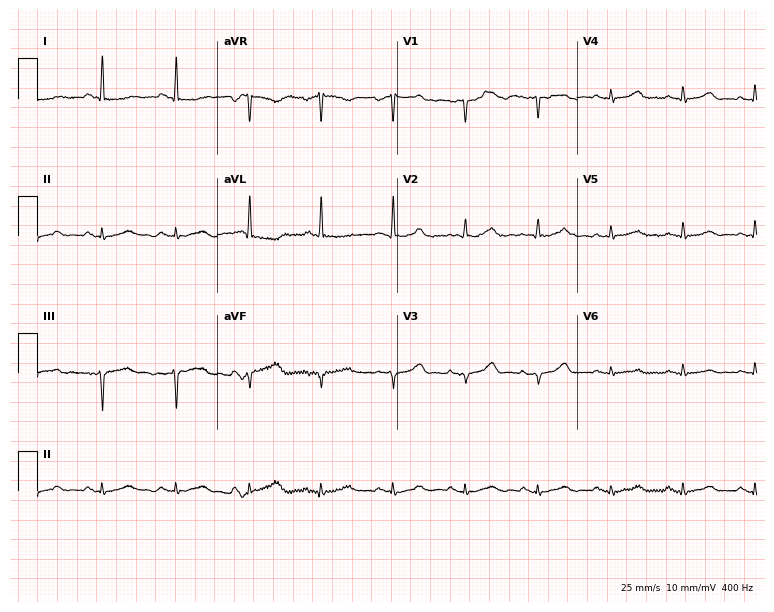
Electrocardiogram, a 61-year-old female. Of the six screened findings (first-degree AV block, right bundle branch block, left bundle branch block, sinus bradycardia, atrial fibrillation, sinus tachycardia), none is recorded.